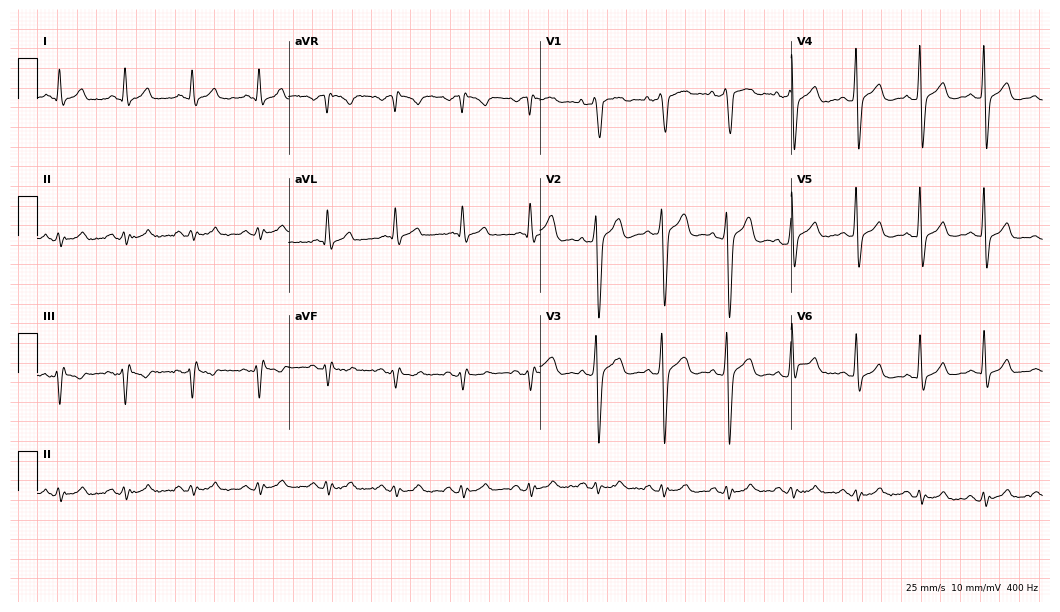
12-lead ECG (10.2-second recording at 400 Hz) from a 35-year-old male patient. Findings include left bundle branch block.